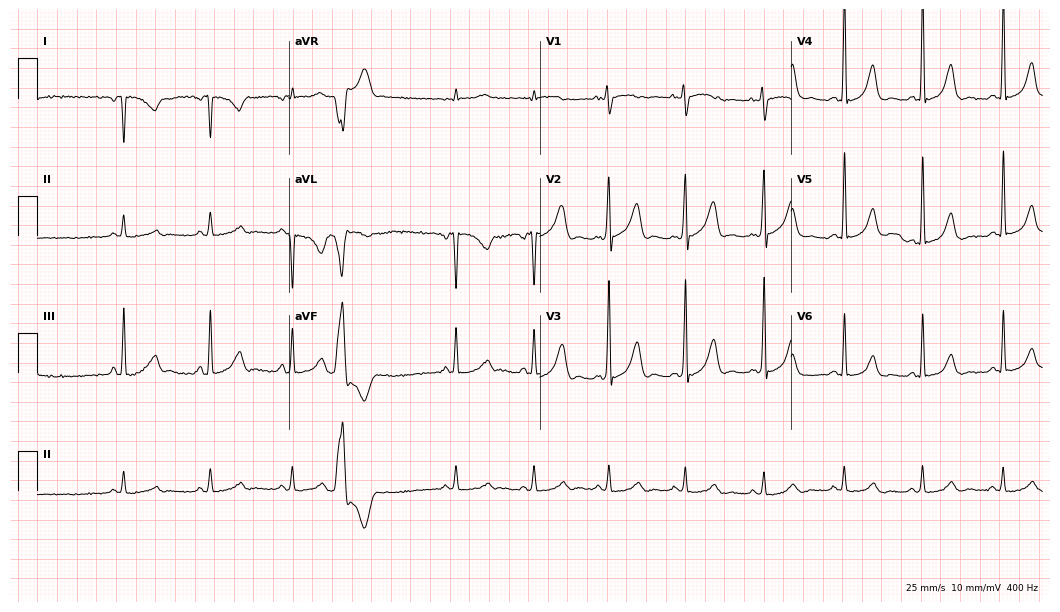
12-lead ECG (10.2-second recording at 400 Hz) from a female, 58 years old. Screened for six findings — first-degree AV block, right bundle branch block, left bundle branch block, sinus bradycardia, atrial fibrillation, sinus tachycardia — none is recorded.